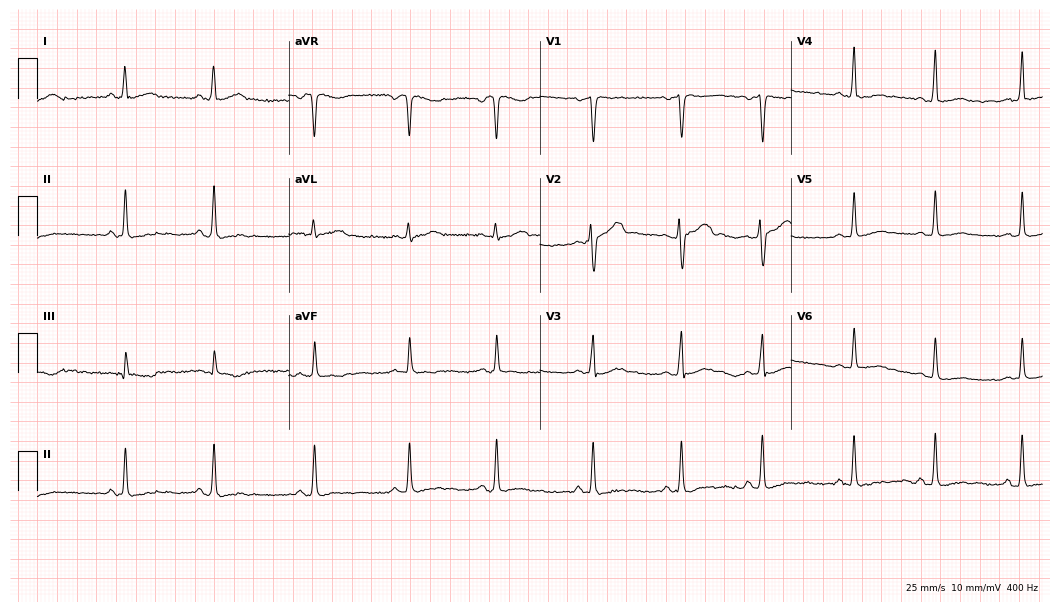
Resting 12-lead electrocardiogram. Patient: a male, 23 years old. None of these six findings is recorded: first-degree AV block, right bundle branch block, left bundle branch block, sinus bradycardia, atrial fibrillation, sinus tachycardia. Only these six findings were labelled.